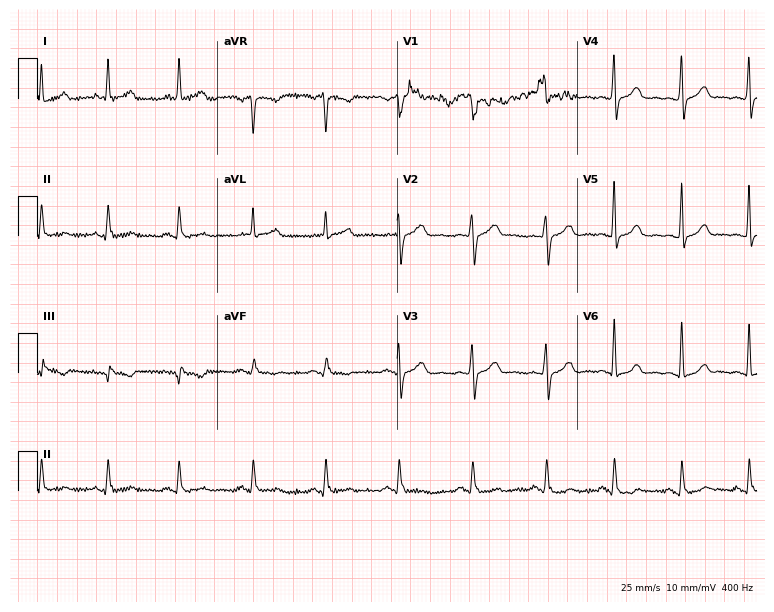
12-lead ECG (7.3-second recording at 400 Hz) from a 47-year-old female. Screened for six findings — first-degree AV block, right bundle branch block, left bundle branch block, sinus bradycardia, atrial fibrillation, sinus tachycardia — none is recorded.